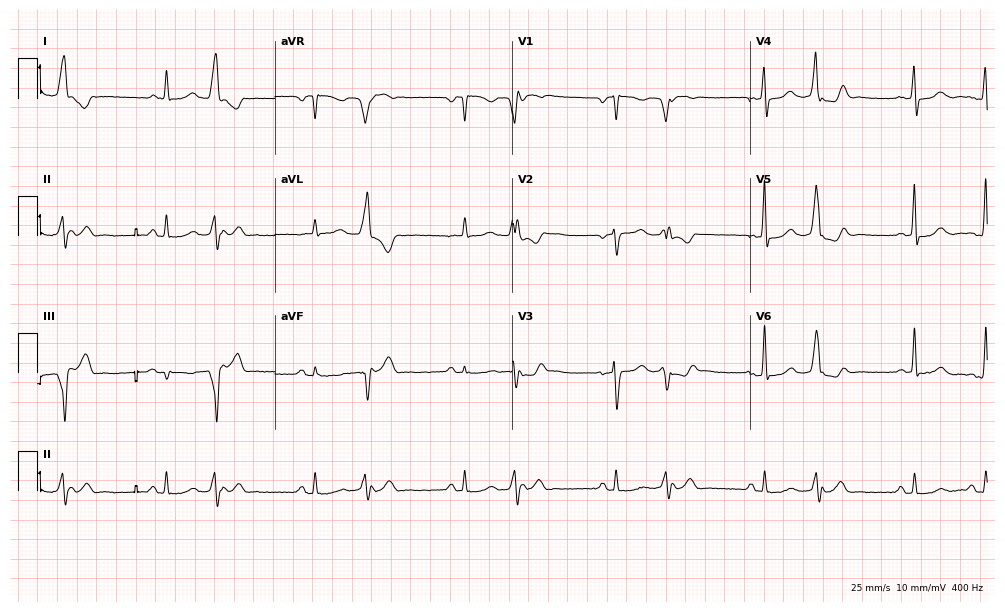
12-lead ECG from a male patient, 75 years old. No first-degree AV block, right bundle branch block, left bundle branch block, sinus bradycardia, atrial fibrillation or sinus tachycardia recorded for this tracing.